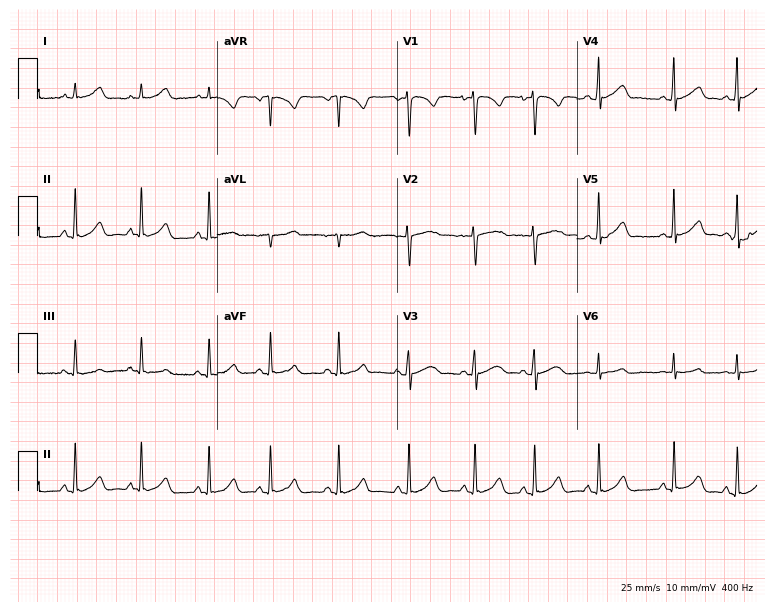
12-lead ECG from an 18-year-old woman (7.3-second recording at 400 Hz). Recorded interpretation: within normal limits.